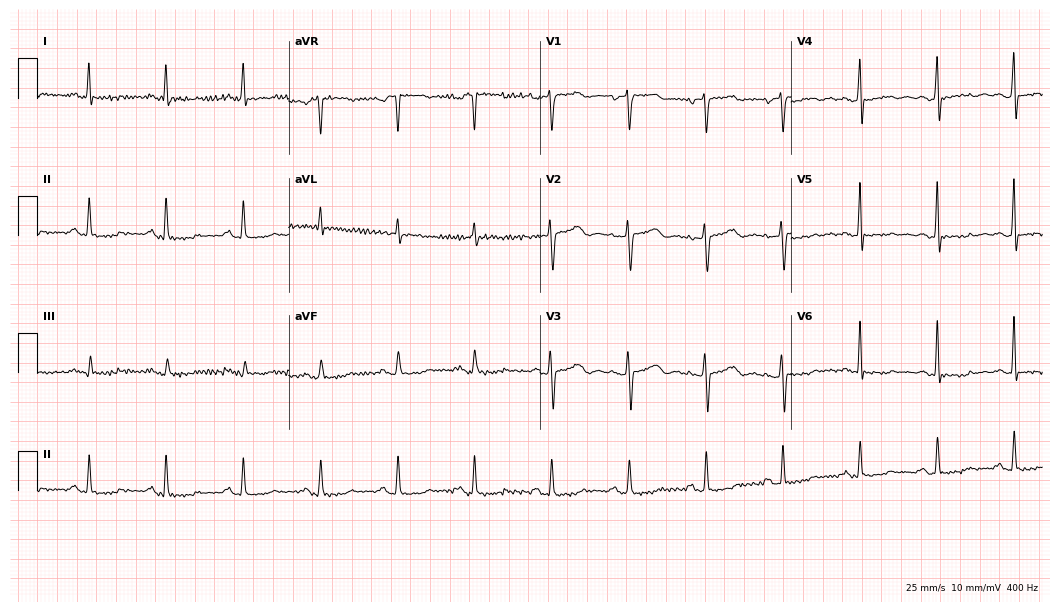
Electrocardiogram, a female patient, 63 years old. Of the six screened findings (first-degree AV block, right bundle branch block (RBBB), left bundle branch block (LBBB), sinus bradycardia, atrial fibrillation (AF), sinus tachycardia), none is recorded.